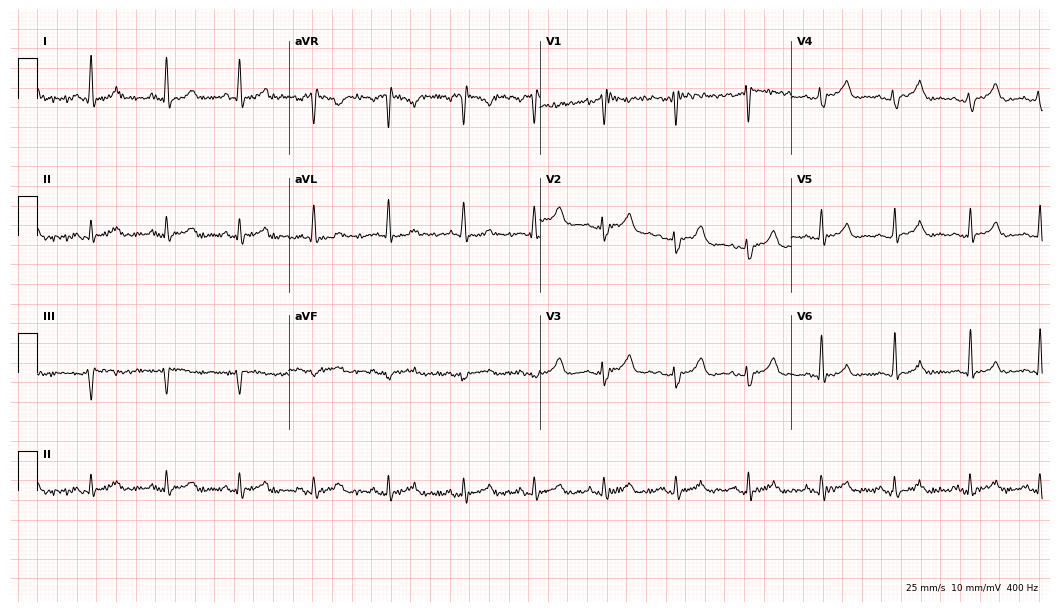
Electrocardiogram, a 31-year-old woman. Of the six screened findings (first-degree AV block, right bundle branch block, left bundle branch block, sinus bradycardia, atrial fibrillation, sinus tachycardia), none is recorded.